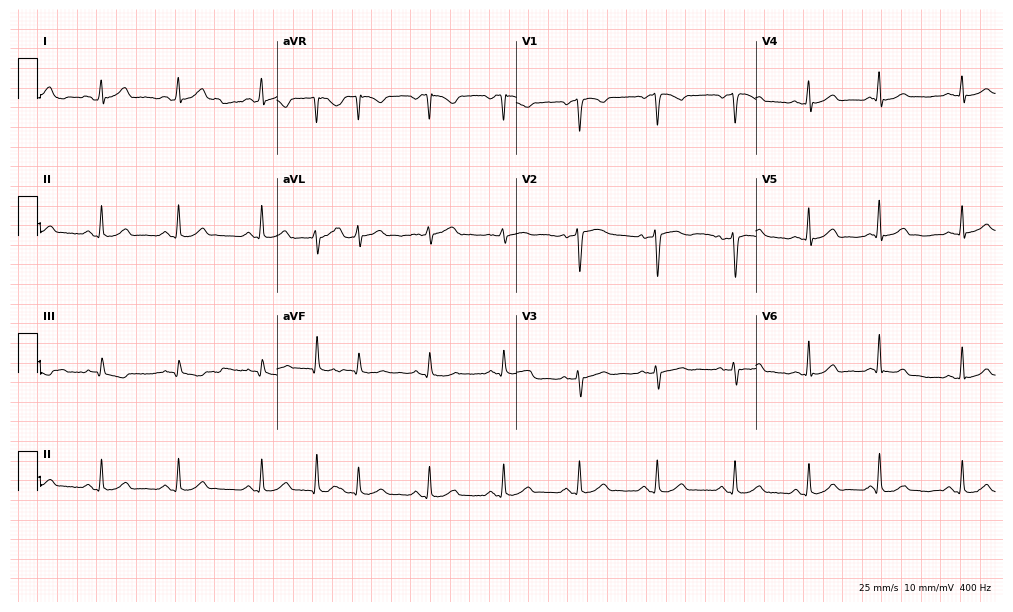
Electrocardiogram (9.8-second recording at 400 Hz), a female patient, 34 years old. Of the six screened findings (first-degree AV block, right bundle branch block (RBBB), left bundle branch block (LBBB), sinus bradycardia, atrial fibrillation (AF), sinus tachycardia), none is recorded. Only these six findings were labelled.